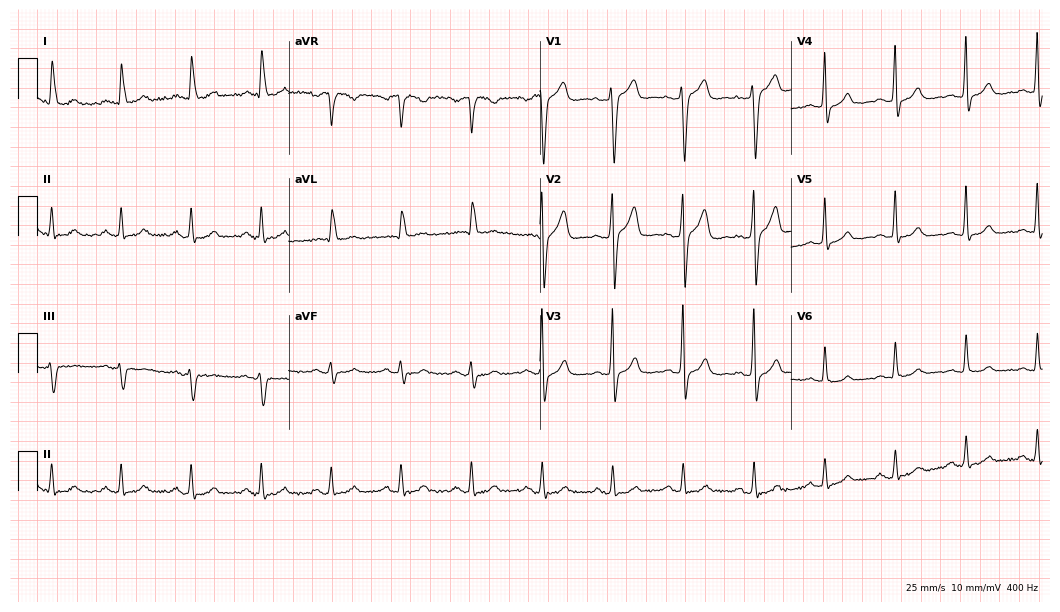
Resting 12-lead electrocardiogram. Patient: a man, 65 years old. None of these six findings is recorded: first-degree AV block, right bundle branch block, left bundle branch block, sinus bradycardia, atrial fibrillation, sinus tachycardia. Findings outside these six are not listed.